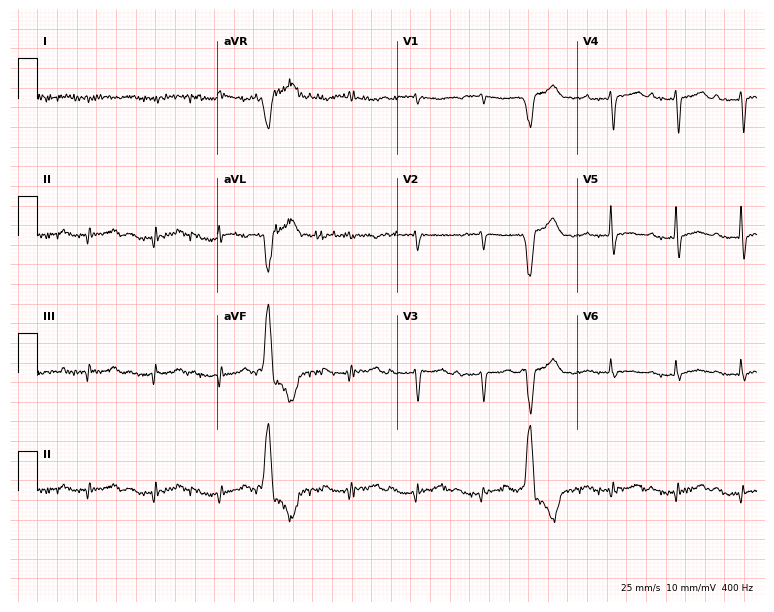
12-lead ECG from a 77-year-old woman. Screened for six findings — first-degree AV block, right bundle branch block, left bundle branch block, sinus bradycardia, atrial fibrillation, sinus tachycardia — none is recorded.